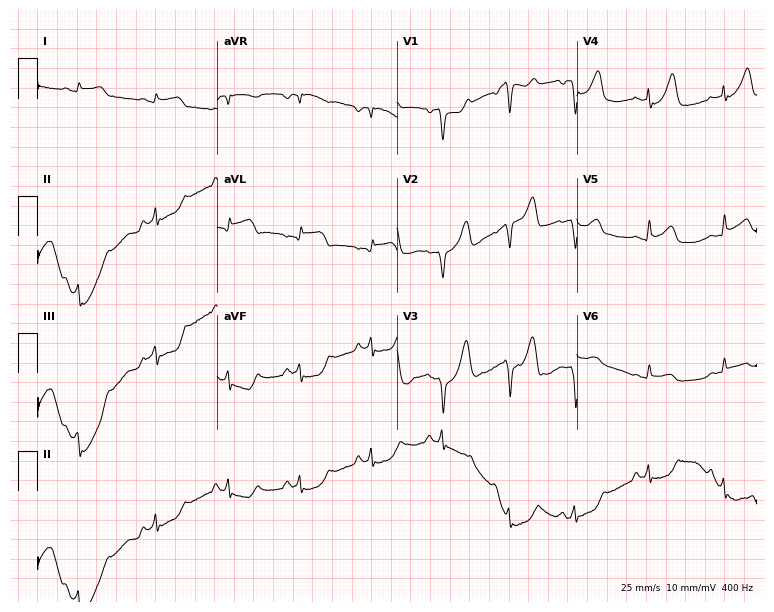
12-lead ECG from a 70-year-old male patient. No first-degree AV block, right bundle branch block (RBBB), left bundle branch block (LBBB), sinus bradycardia, atrial fibrillation (AF) or sinus tachycardia recorded for this tracing. Other findings, if any, are not listed.